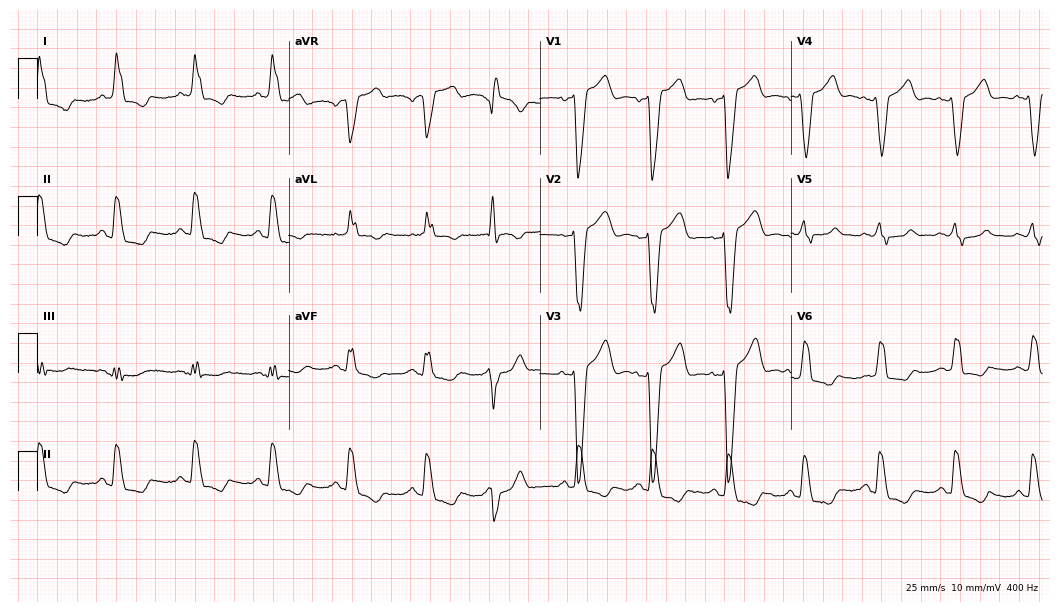
ECG (10.2-second recording at 400 Hz) — an 82-year-old male. Findings include left bundle branch block.